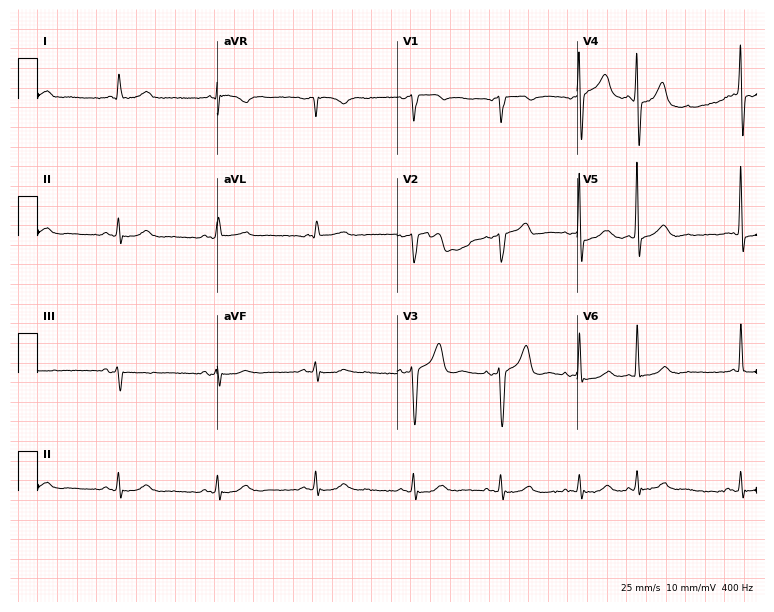
Resting 12-lead electrocardiogram (7.3-second recording at 400 Hz). Patient: a male, 78 years old. None of these six findings is recorded: first-degree AV block, right bundle branch block, left bundle branch block, sinus bradycardia, atrial fibrillation, sinus tachycardia.